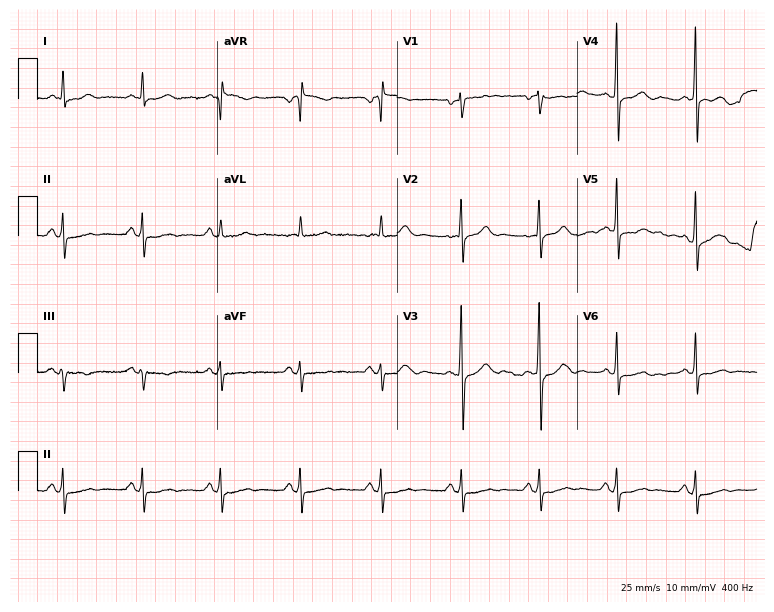
Resting 12-lead electrocardiogram. Patient: a man, 58 years old. None of these six findings is recorded: first-degree AV block, right bundle branch block, left bundle branch block, sinus bradycardia, atrial fibrillation, sinus tachycardia. Other findings, if any, are not listed.